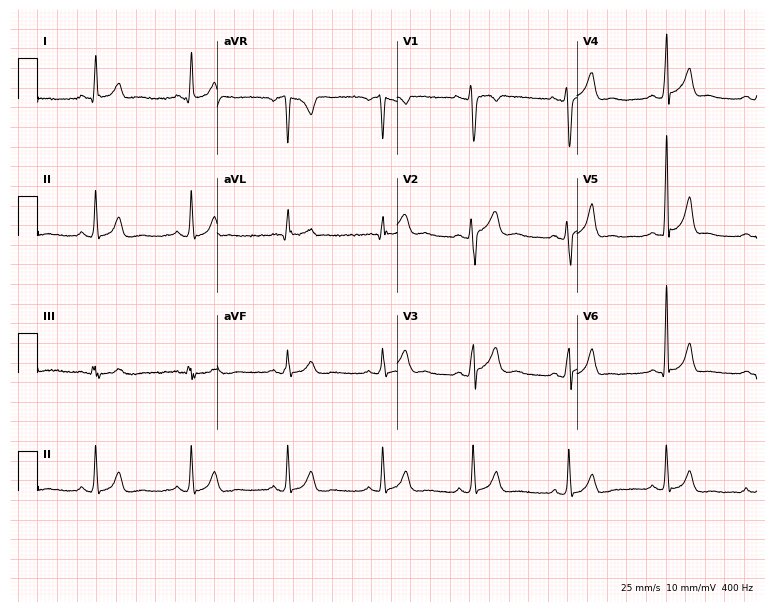
12-lead ECG (7.3-second recording at 400 Hz) from a male patient, 26 years old. Screened for six findings — first-degree AV block, right bundle branch block, left bundle branch block, sinus bradycardia, atrial fibrillation, sinus tachycardia — none is recorded. Findings outside these six are not listed.